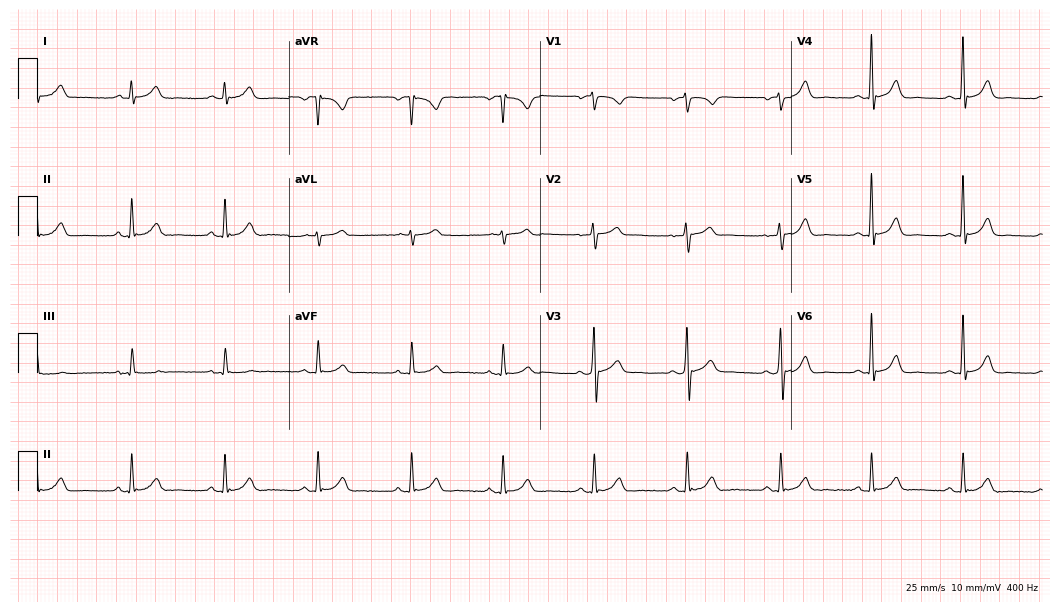
ECG (10.2-second recording at 400 Hz) — a male, 60 years old. Labelled as a normal ECG.